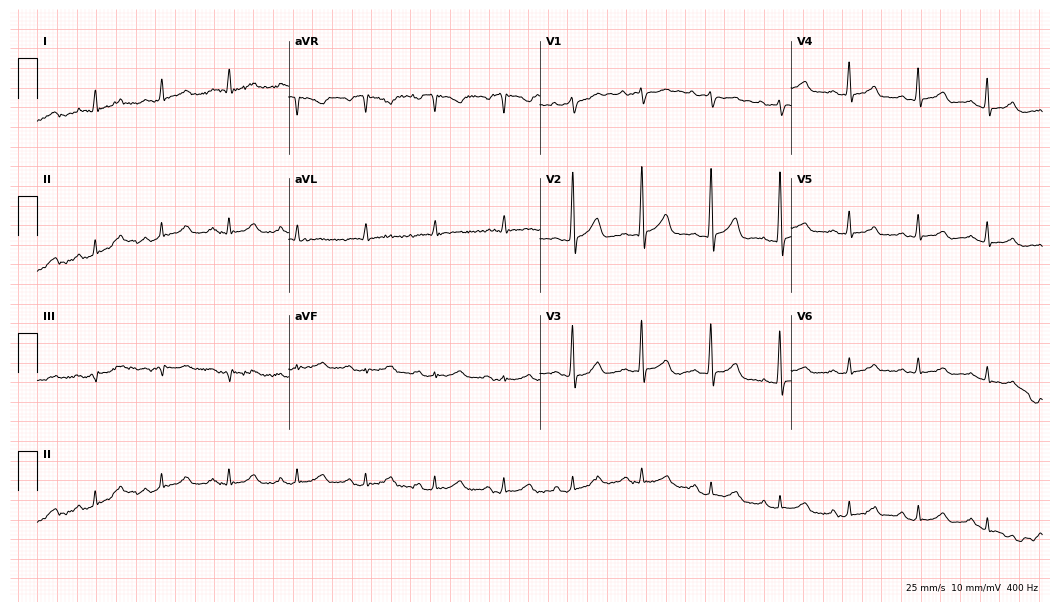
Resting 12-lead electrocardiogram. Patient: a 73-year-old male. Read as a normal ECG.